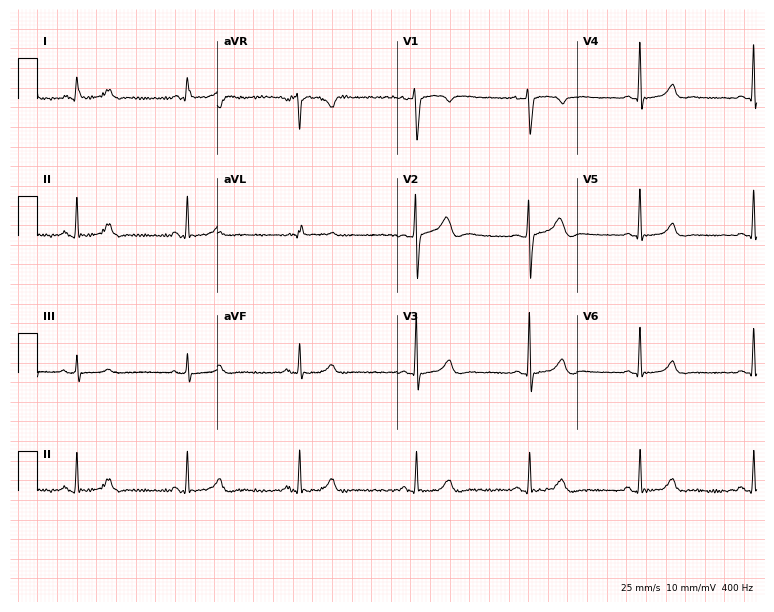
Standard 12-lead ECG recorded from a female patient, 33 years old. None of these six findings is recorded: first-degree AV block, right bundle branch block, left bundle branch block, sinus bradycardia, atrial fibrillation, sinus tachycardia.